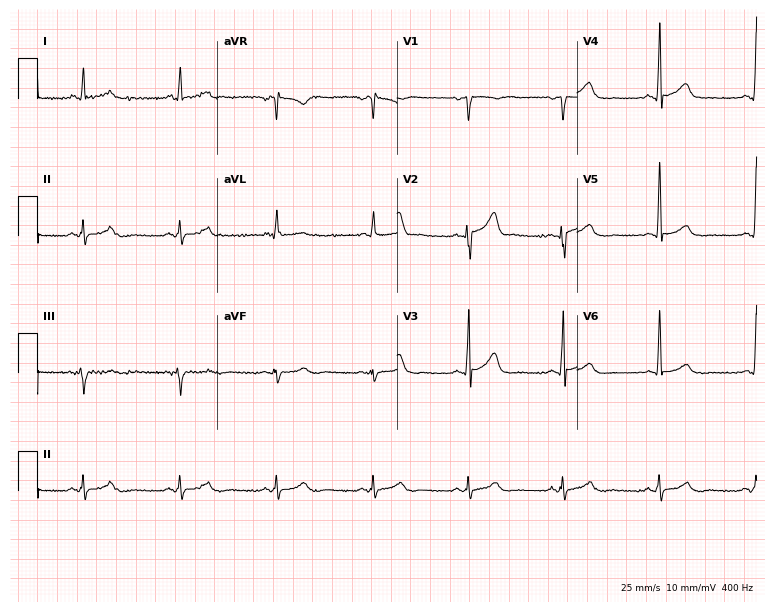
Resting 12-lead electrocardiogram (7.3-second recording at 400 Hz). Patient: a 57-year-old male. Read as a normal ECG.